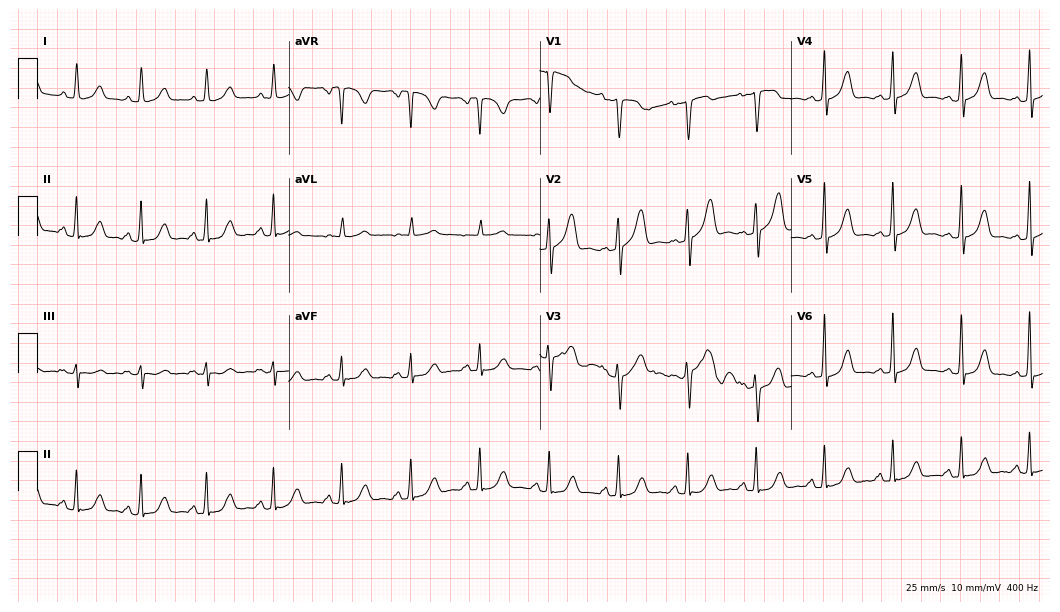
Standard 12-lead ECG recorded from a female, 46 years old (10.2-second recording at 400 Hz). Read as a normal ECG.